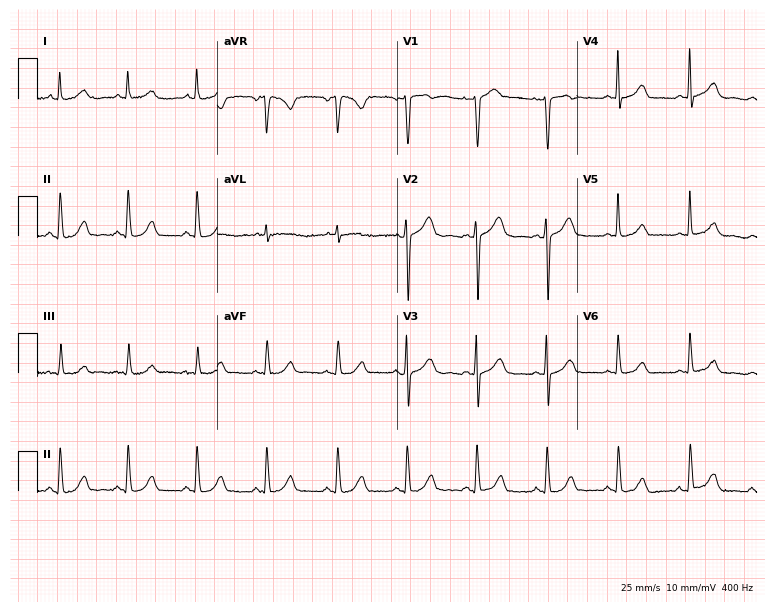
Resting 12-lead electrocardiogram (7.3-second recording at 400 Hz). Patient: a female, 37 years old. None of these six findings is recorded: first-degree AV block, right bundle branch block, left bundle branch block, sinus bradycardia, atrial fibrillation, sinus tachycardia. Findings outside these six are not listed.